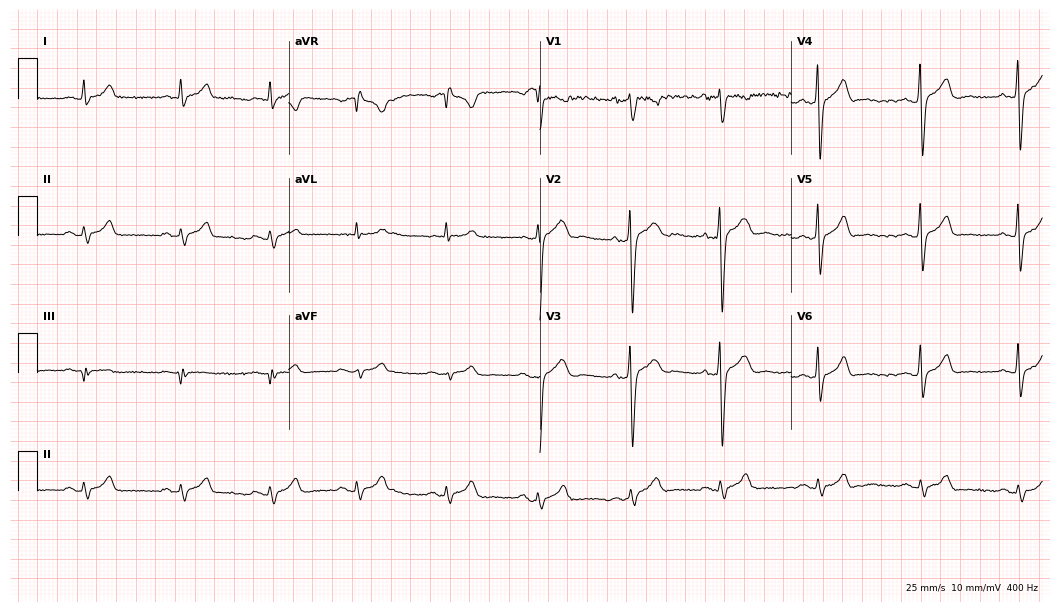
12-lead ECG (10.2-second recording at 400 Hz) from a man, 18 years old. Screened for six findings — first-degree AV block, right bundle branch block (RBBB), left bundle branch block (LBBB), sinus bradycardia, atrial fibrillation (AF), sinus tachycardia — none is recorded.